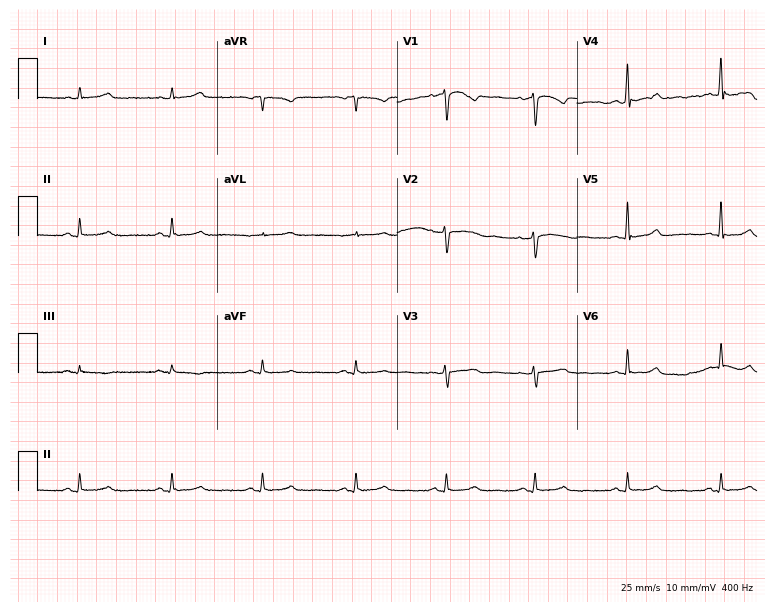
Standard 12-lead ECG recorded from a female, 39 years old (7.3-second recording at 400 Hz). None of these six findings is recorded: first-degree AV block, right bundle branch block (RBBB), left bundle branch block (LBBB), sinus bradycardia, atrial fibrillation (AF), sinus tachycardia. Other findings, if any, are not listed.